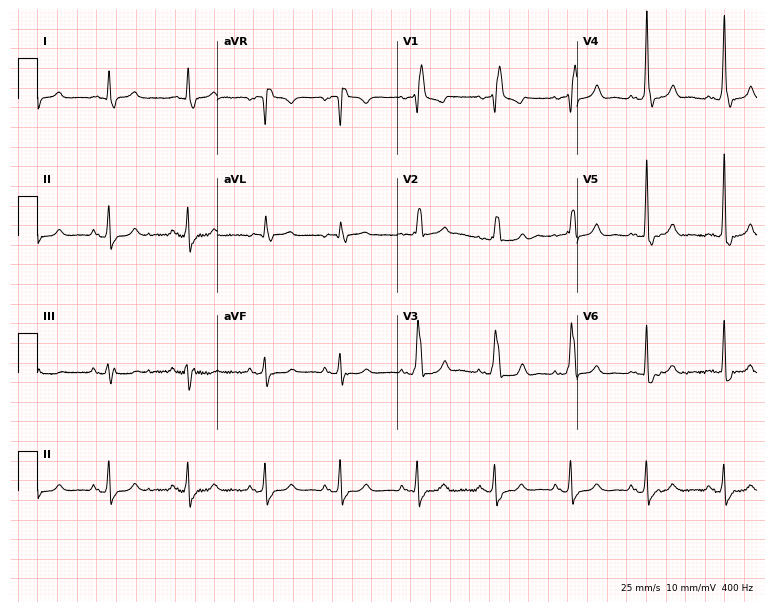
Electrocardiogram, a 21-year-old male patient. Interpretation includes right bundle branch block.